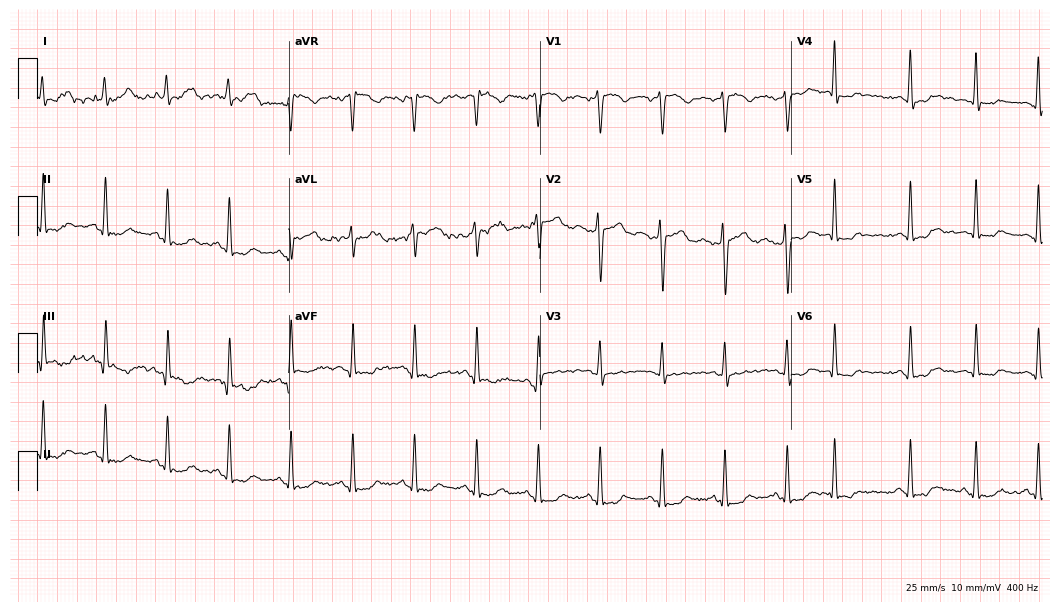
12-lead ECG from a female patient, 51 years old. No first-degree AV block, right bundle branch block (RBBB), left bundle branch block (LBBB), sinus bradycardia, atrial fibrillation (AF) or sinus tachycardia recorded for this tracing.